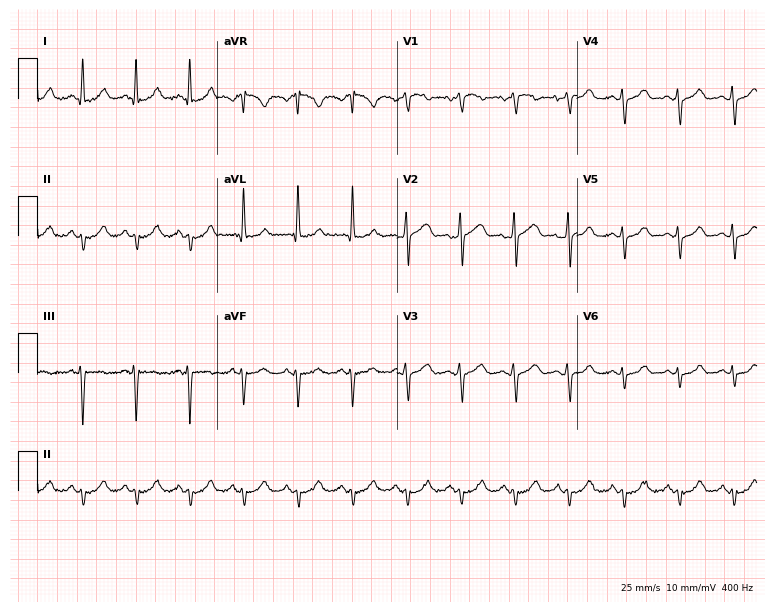
Standard 12-lead ECG recorded from a female patient, 61 years old (7.3-second recording at 400 Hz). The tracing shows sinus tachycardia (a sinus rate of 100 beats per minute or more).